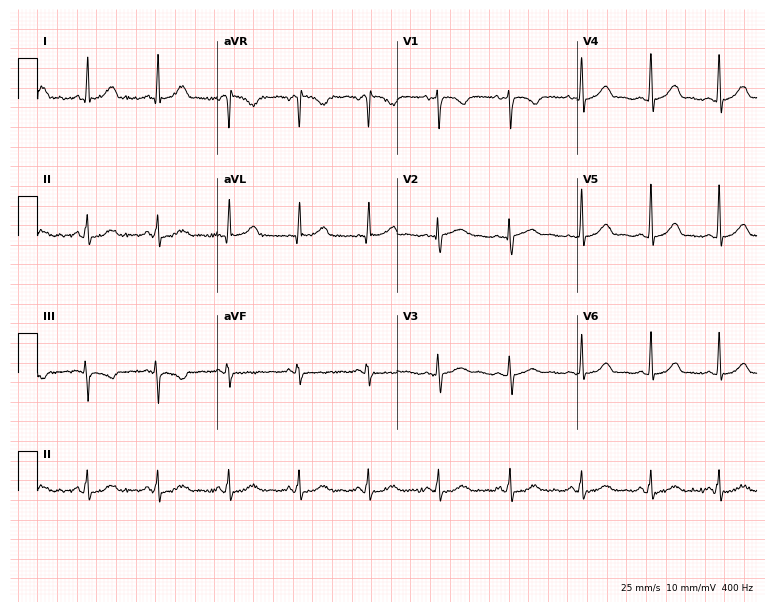
Electrocardiogram, a female patient, 47 years old. Of the six screened findings (first-degree AV block, right bundle branch block (RBBB), left bundle branch block (LBBB), sinus bradycardia, atrial fibrillation (AF), sinus tachycardia), none is recorded. Other findings, if any, are not listed.